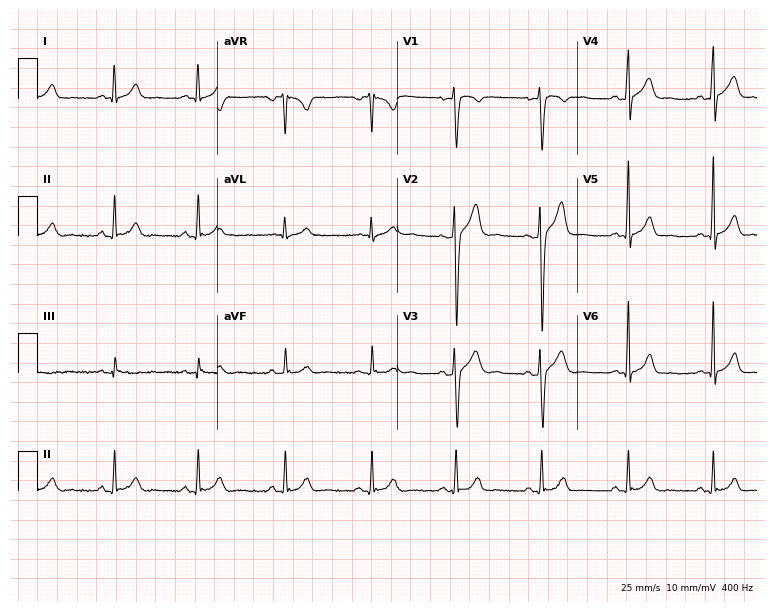
Standard 12-lead ECG recorded from a 28-year-old male patient (7.3-second recording at 400 Hz). Read as a normal ECG.